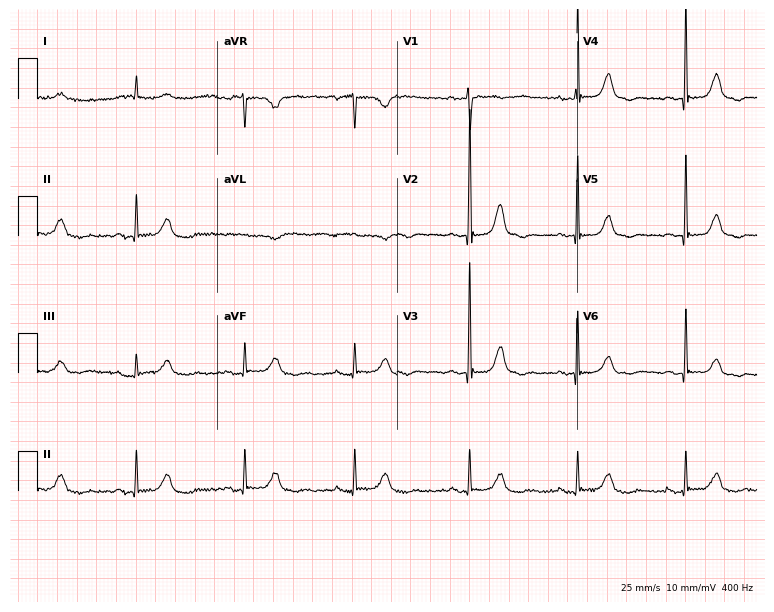
Standard 12-lead ECG recorded from a female patient, 79 years old (7.3-second recording at 400 Hz). Read as a normal ECG.